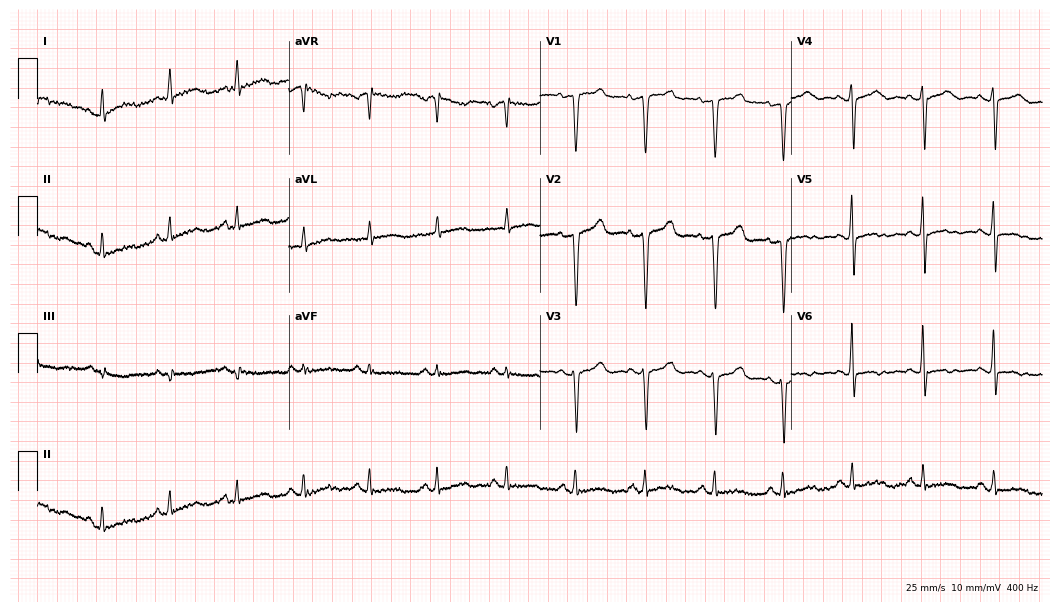
ECG (10.2-second recording at 400 Hz) — a female patient, 54 years old. Labelled as a normal ECG.